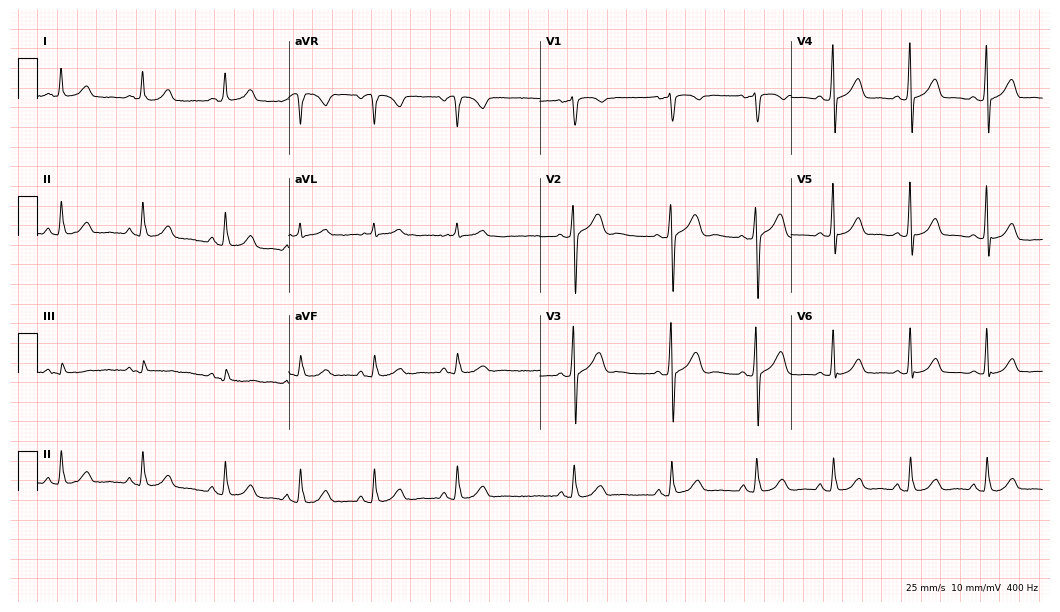
ECG (10.2-second recording at 400 Hz) — a 50-year-old man. Labelled as a normal ECG.